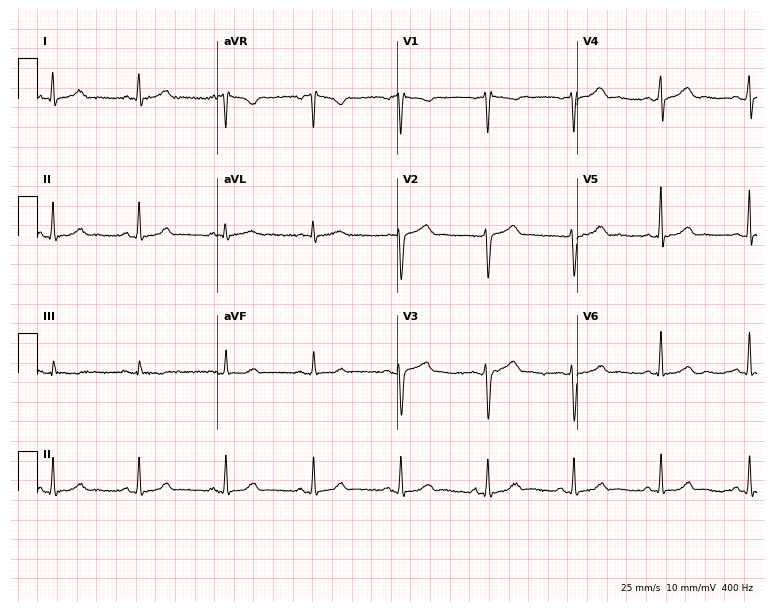
Standard 12-lead ECG recorded from a male patient, 46 years old. Read as a normal ECG.